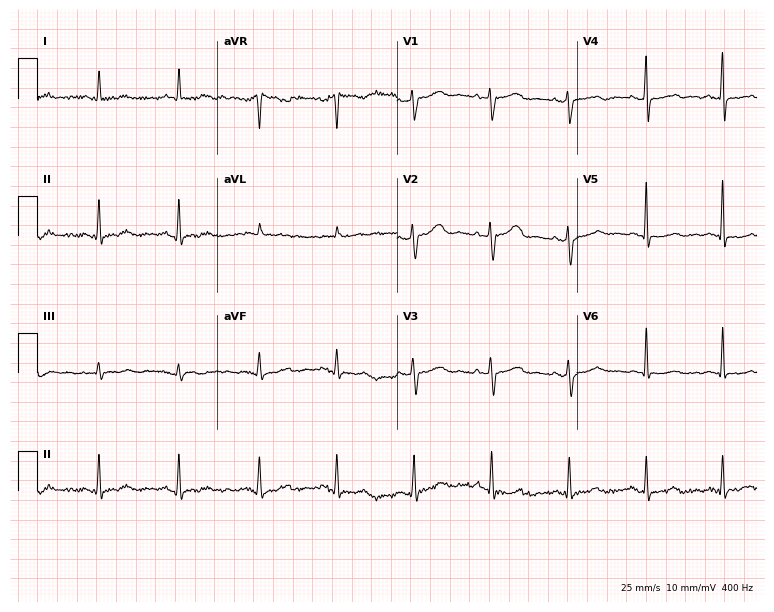
12-lead ECG from a 60-year-old female (7.3-second recording at 400 Hz). No first-degree AV block, right bundle branch block, left bundle branch block, sinus bradycardia, atrial fibrillation or sinus tachycardia recorded for this tracing.